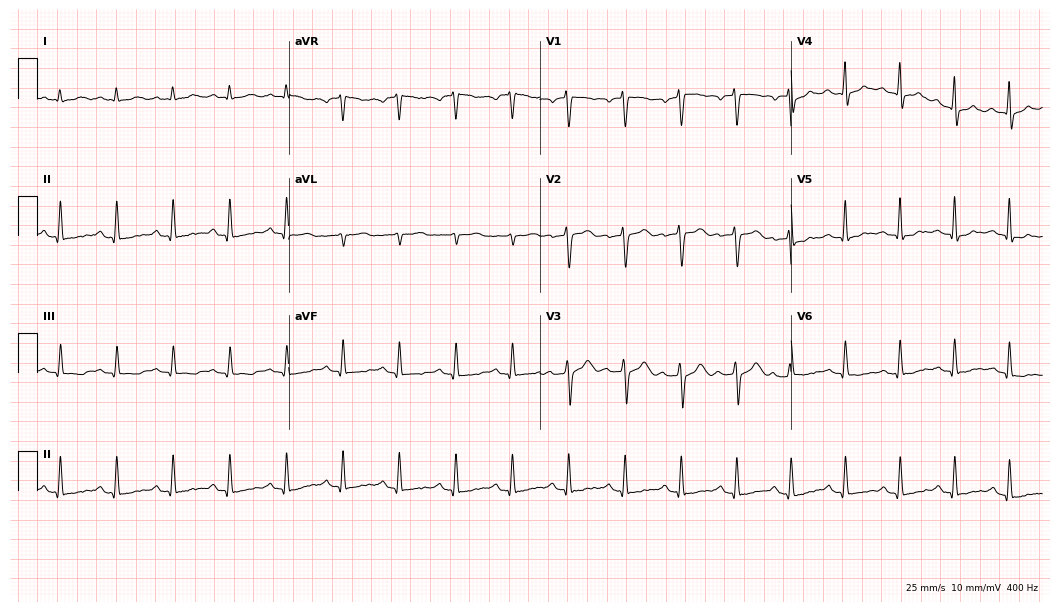
12-lead ECG from a 48-year-old male patient. Shows sinus tachycardia (a sinus rate of 100 beats per minute or more).